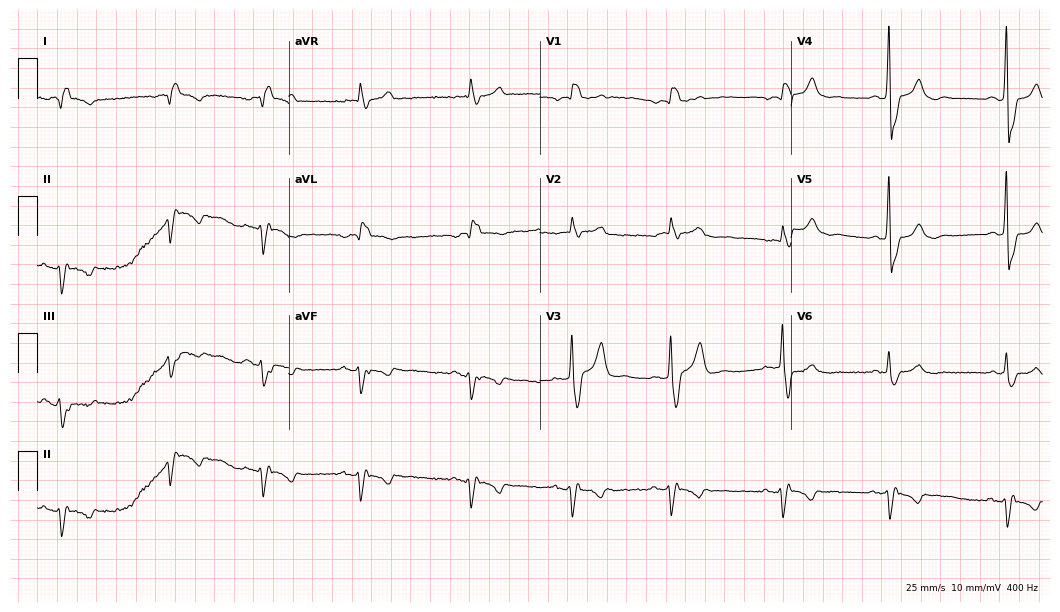
12-lead ECG from a man, 79 years old. No first-degree AV block, right bundle branch block, left bundle branch block, sinus bradycardia, atrial fibrillation or sinus tachycardia recorded for this tracing.